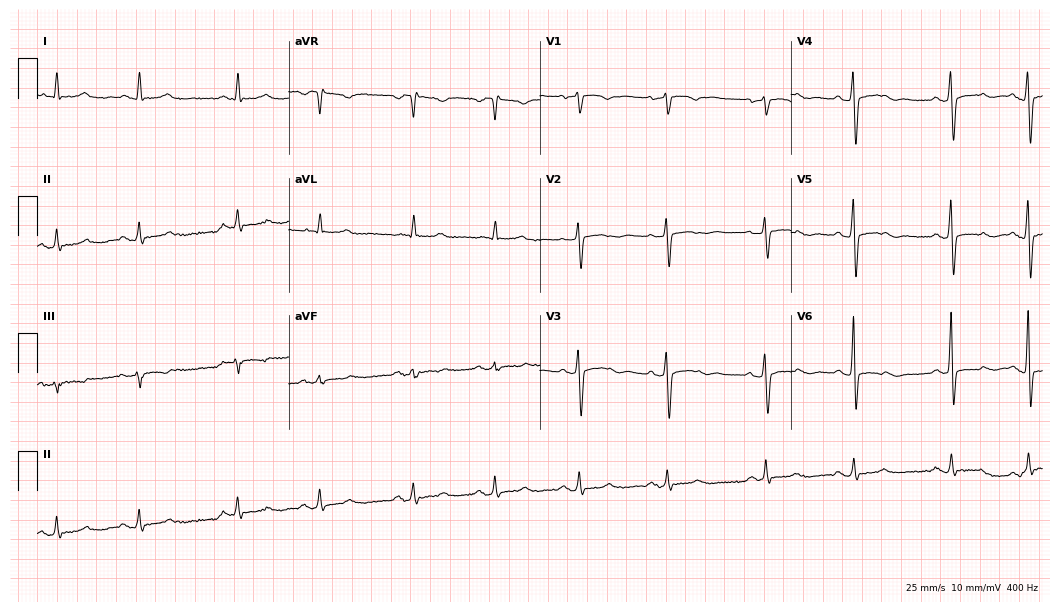
12-lead ECG from a female, 73 years old. Labelled as a normal ECG.